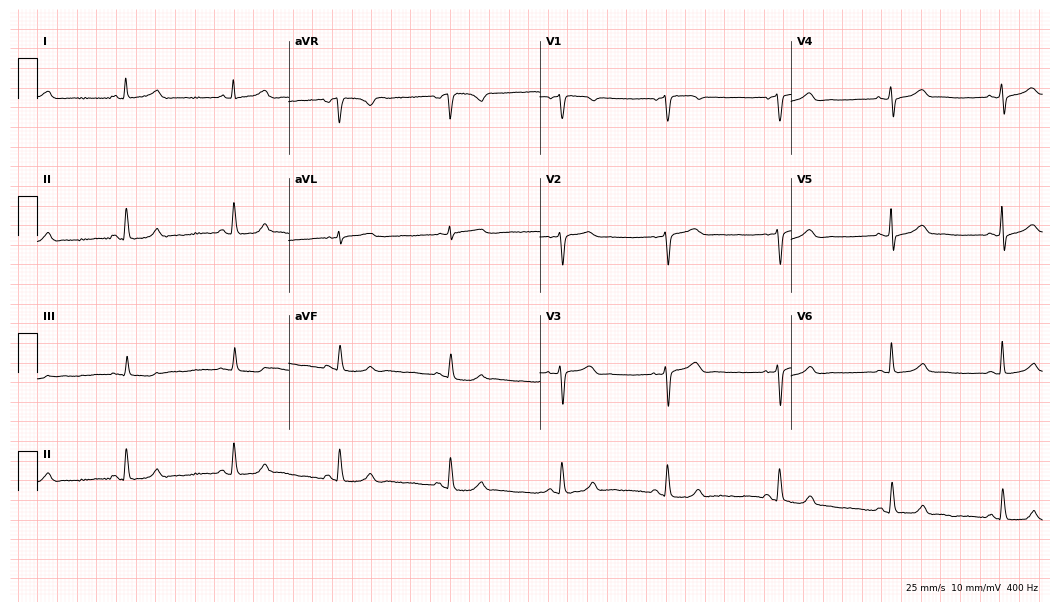
12-lead ECG from a female, 53 years old (10.2-second recording at 400 Hz). Recorded interpretation: within normal limits.